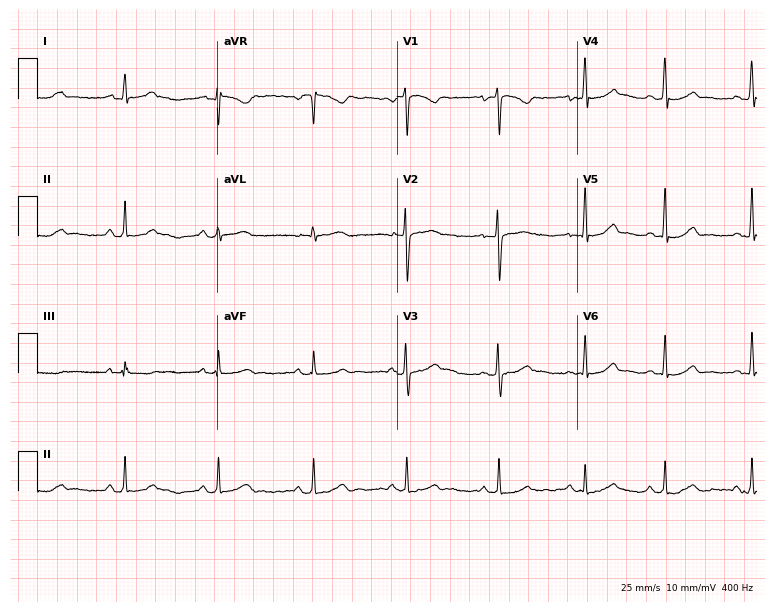
12-lead ECG from a female patient, 30 years old. Recorded interpretation: within normal limits.